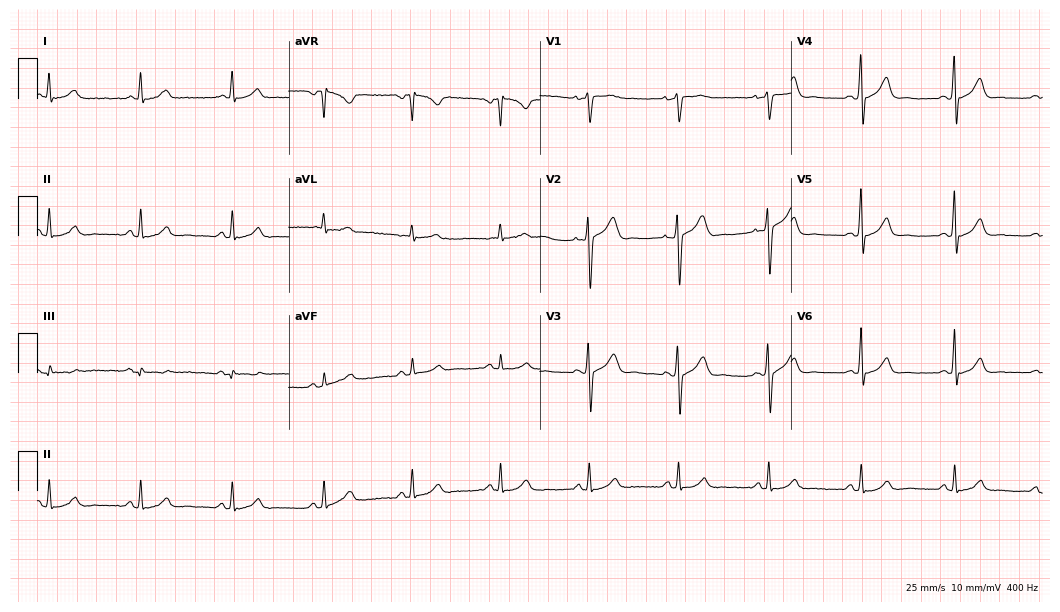
Resting 12-lead electrocardiogram (10.2-second recording at 400 Hz). Patient: a woman, 53 years old. Read as a normal ECG.